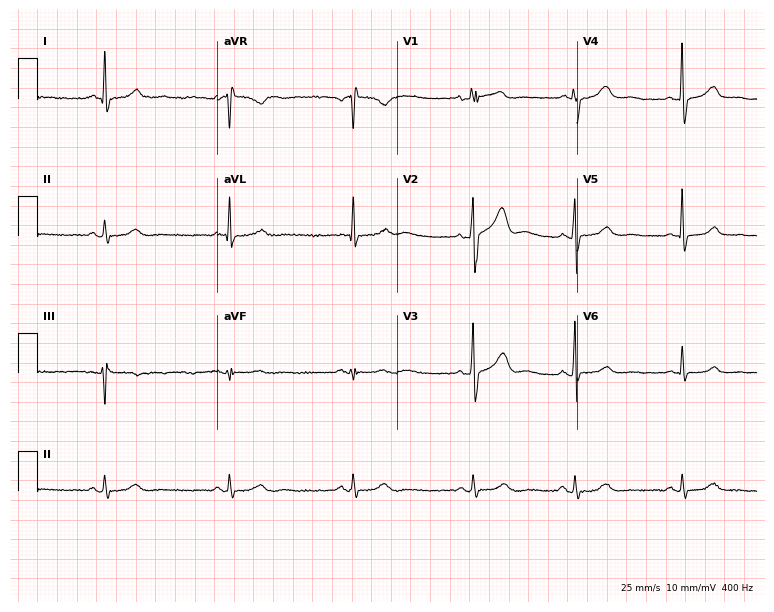
12-lead ECG from a 62-year-old male patient. No first-degree AV block, right bundle branch block, left bundle branch block, sinus bradycardia, atrial fibrillation or sinus tachycardia recorded for this tracing. Only these six findings were labelled.